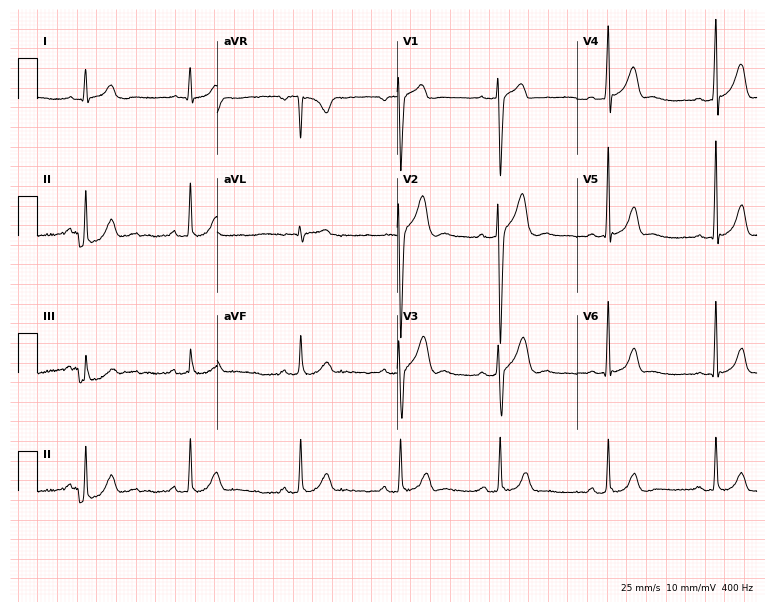
ECG — a male patient, 29 years old. Screened for six findings — first-degree AV block, right bundle branch block, left bundle branch block, sinus bradycardia, atrial fibrillation, sinus tachycardia — none is recorded.